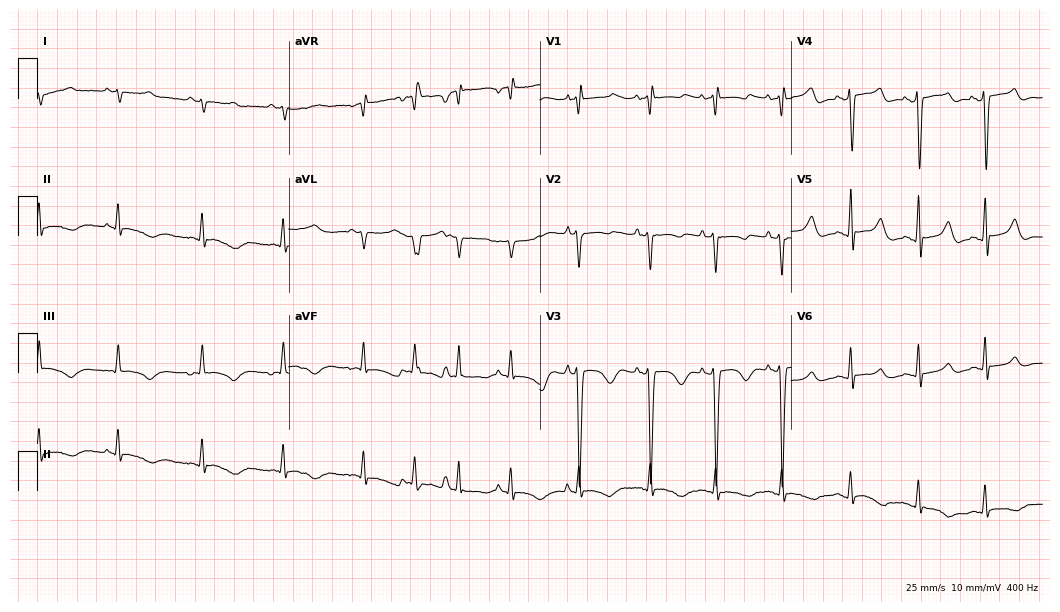
Standard 12-lead ECG recorded from a 54-year-old male patient. None of these six findings is recorded: first-degree AV block, right bundle branch block (RBBB), left bundle branch block (LBBB), sinus bradycardia, atrial fibrillation (AF), sinus tachycardia.